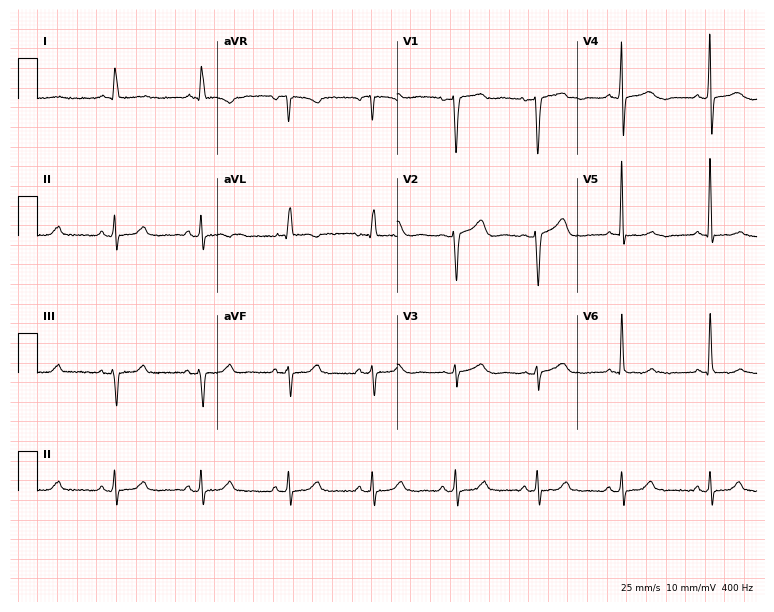
ECG (7.3-second recording at 400 Hz) — a 44-year-old female. Screened for six findings — first-degree AV block, right bundle branch block, left bundle branch block, sinus bradycardia, atrial fibrillation, sinus tachycardia — none is recorded. Findings outside these six are not listed.